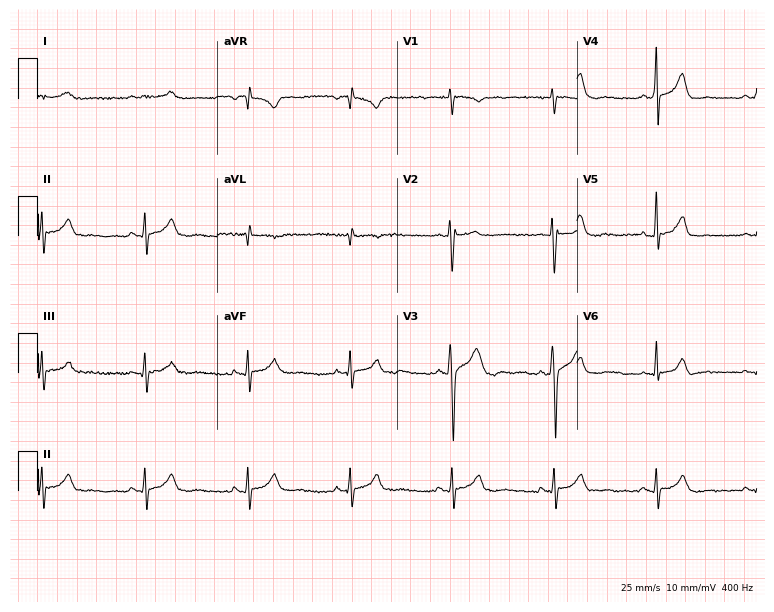
Resting 12-lead electrocardiogram (7.3-second recording at 400 Hz). Patient: a 47-year-old man. Read as a normal ECG.